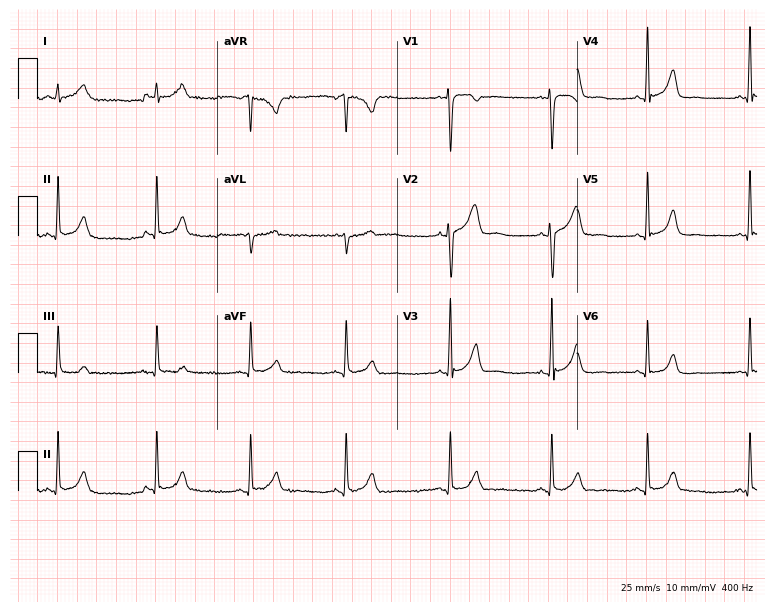
Resting 12-lead electrocardiogram (7.3-second recording at 400 Hz). Patient: a man, 32 years old. Read as a normal ECG.